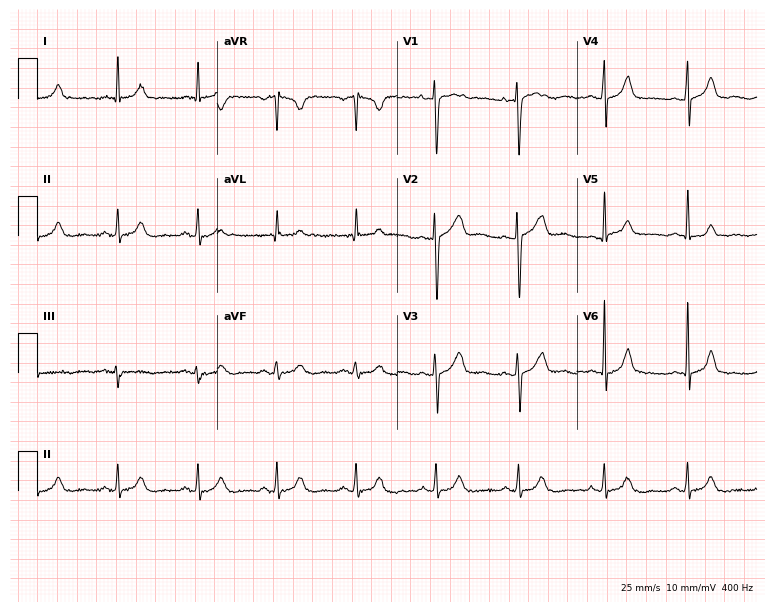
Electrocardiogram (7.3-second recording at 400 Hz), a woman, 30 years old. Overall reading on record: normal ECG.